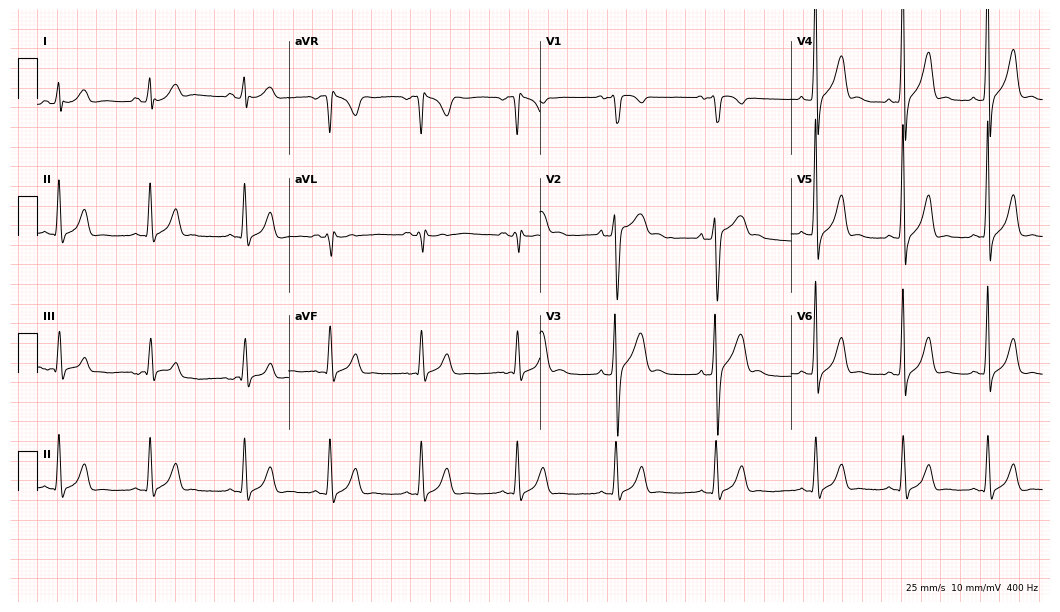
12-lead ECG from a male, 20 years old. No first-degree AV block, right bundle branch block, left bundle branch block, sinus bradycardia, atrial fibrillation or sinus tachycardia recorded for this tracing. Findings outside these six are not listed.